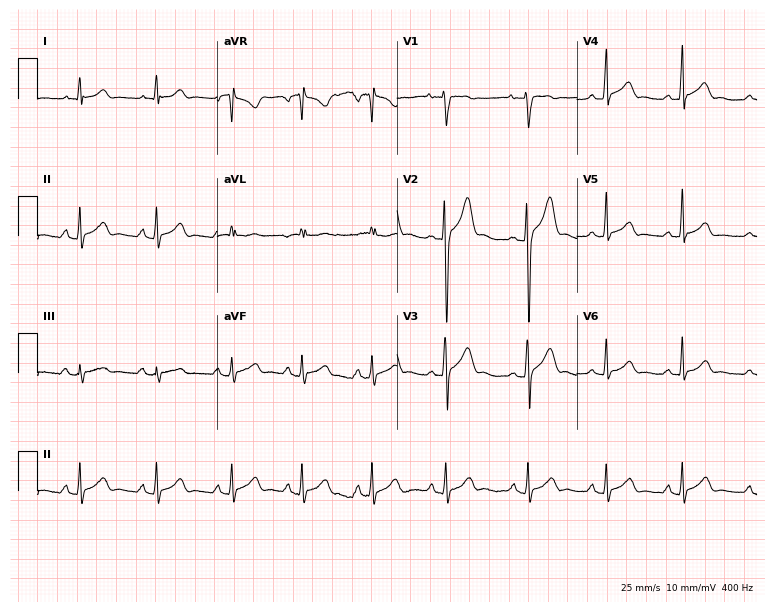
Resting 12-lead electrocardiogram. Patient: an 18-year-old man. Read as a normal ECG.